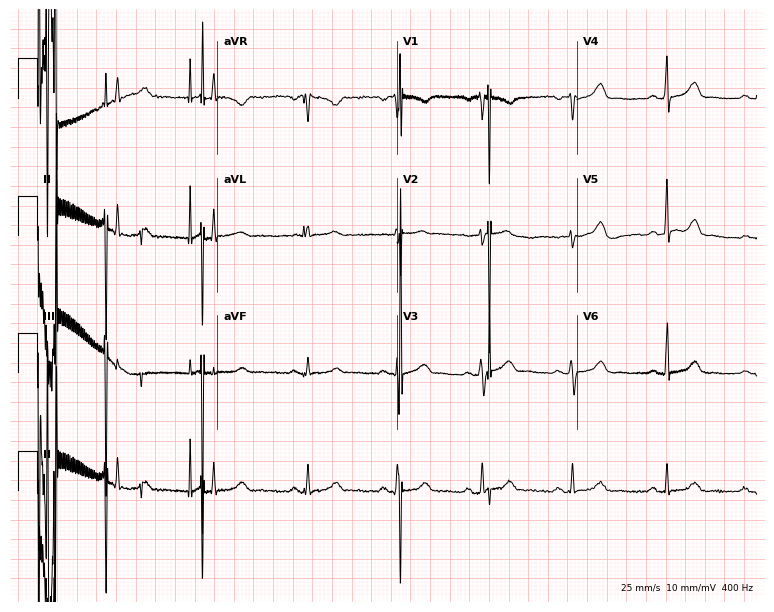
12-lead ECG from a 43-year-old female patient. No first-degree AV block, right bundle branch block, left bundle branch block, sinus bradycardia, atrial fibrillation or sinus tachycardia recorded for this tracing. Findings outside these six are not listed.